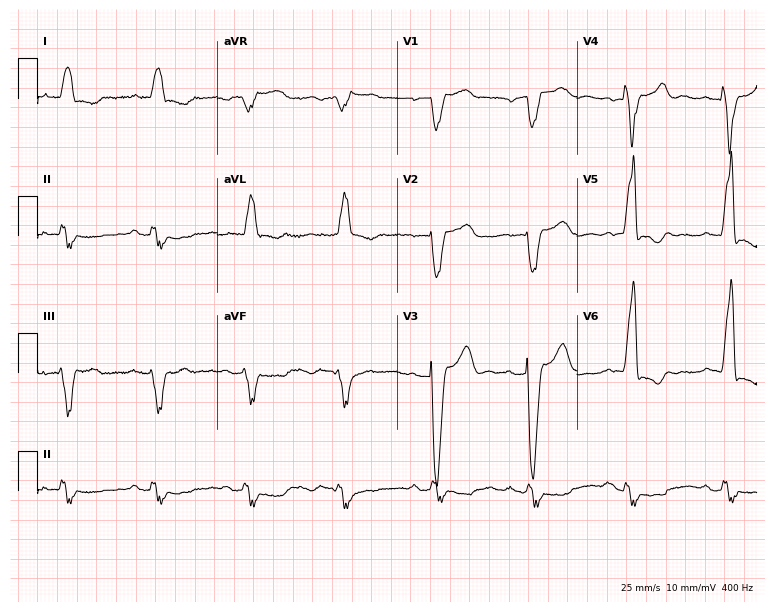
ECG — an 83-year-old male patient. Findings include left bundle branch block (LBBB).